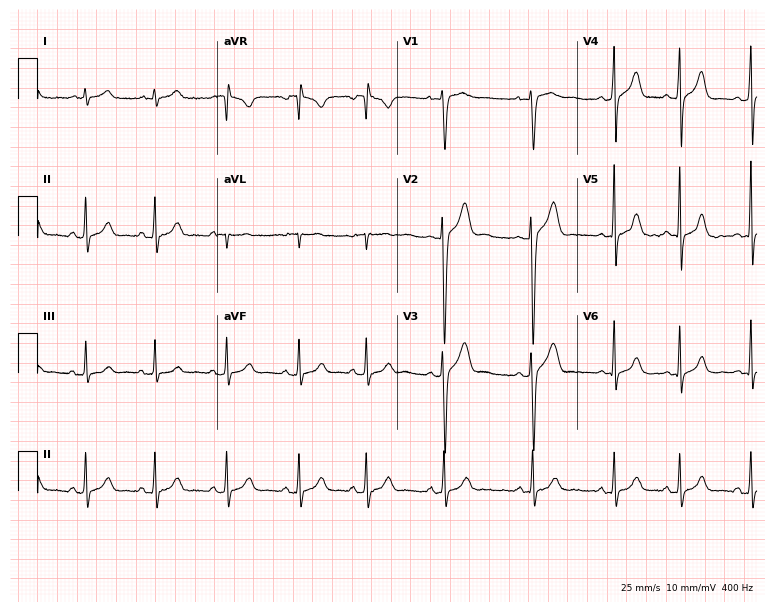
Resting 12-lead electrocardiogram (7.3-second recording at 400 Hz). Patient: a male, 19 years old. Read as a normal ECG.